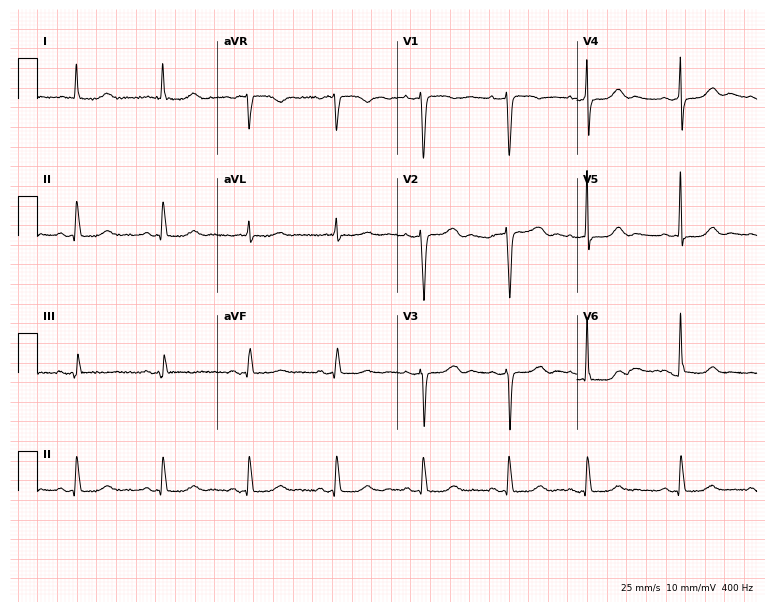
Resting 12-lead electrocardiogram (7.3-second recording at 400 Hz). Patient: a female, 83 years old. None of these six findings is recorded: first-degree AV block, right bundle branch block, left bundle branch block, sinus bradycardia, atrial fibrillation, sinus tachycardia. Only these six findings were labelled.